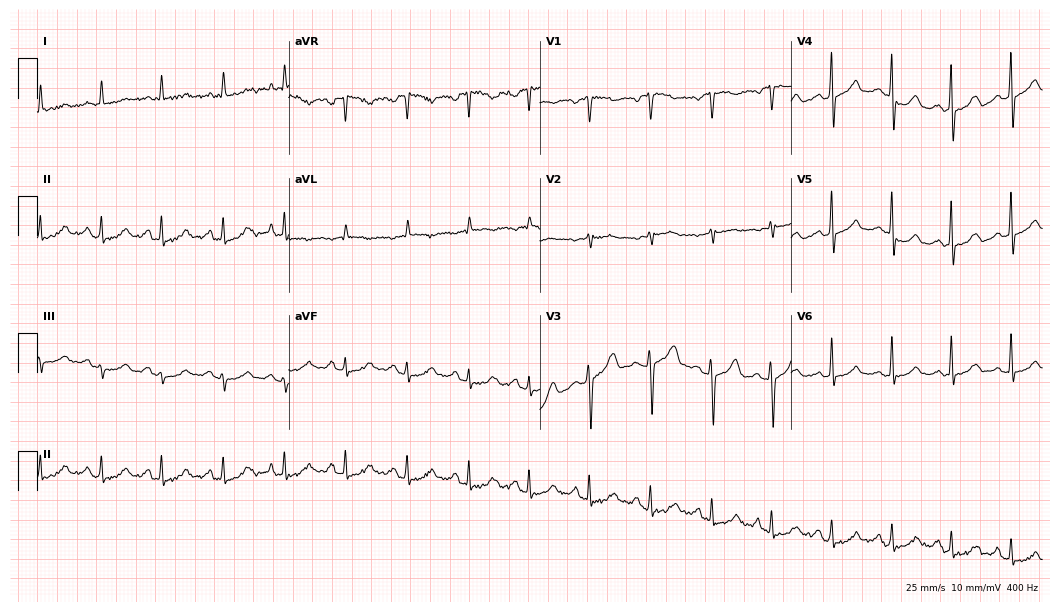
Standard 12-lead ECG recorded from a female, 57 years old. None of these six findings is recorded: first-degree AV block, right bundle branch block, left bundle branch block, sinus bradycardia, atrial fibrillation, sinus tachycardia.